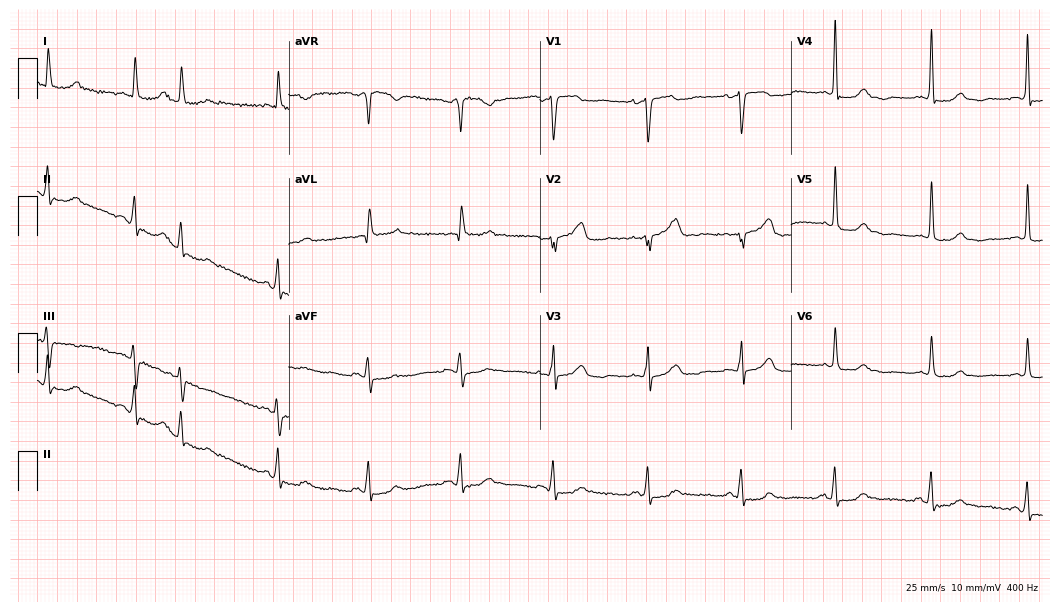
Resting 12-lead electrocardiogram. Patient: a female, 77 years old. None of these six findings is recorded: first-degree AV block, right bundle branch block, left bundle branch block, sinus bradycardia, atrial fibrillation, sinus tachycardia. Other findings, if any, are not listed.